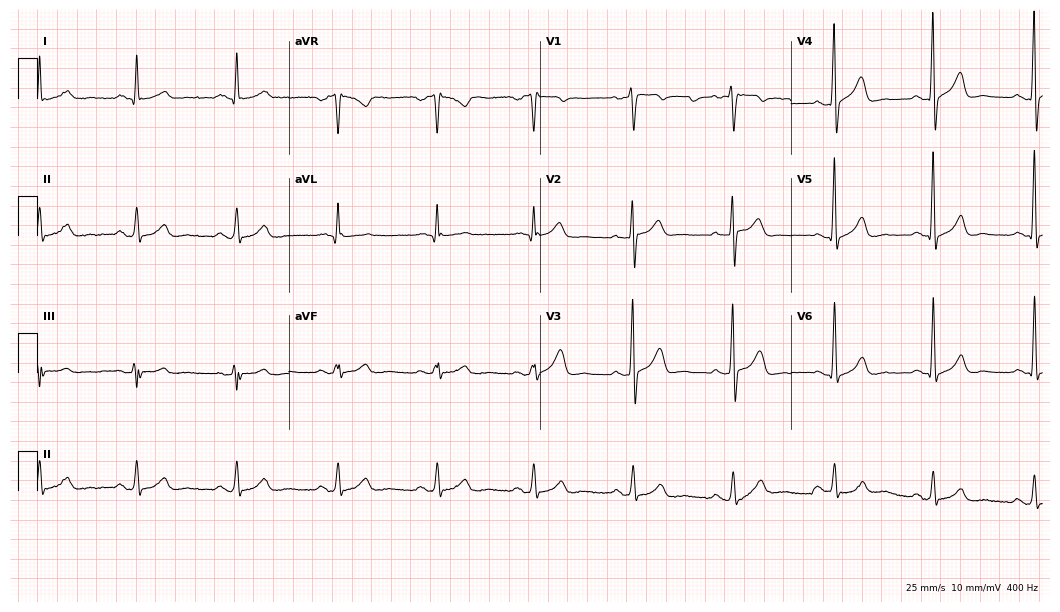
ECG — a male patient, 36 years old. Labelled as a normal ECG.